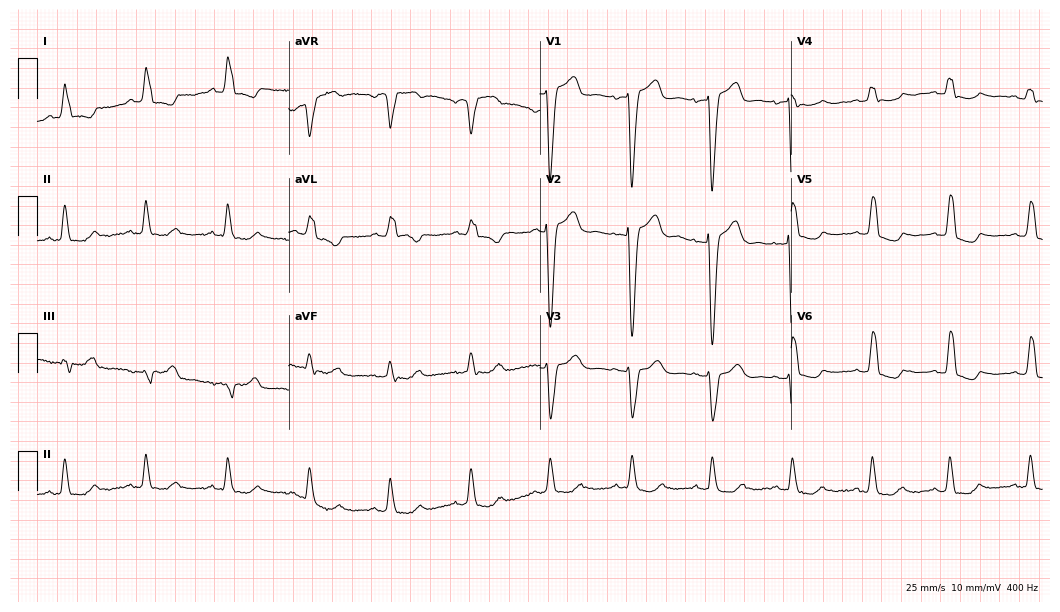
12-lead ECG from a female patient, 73 years old. Shows left bundle branch block.